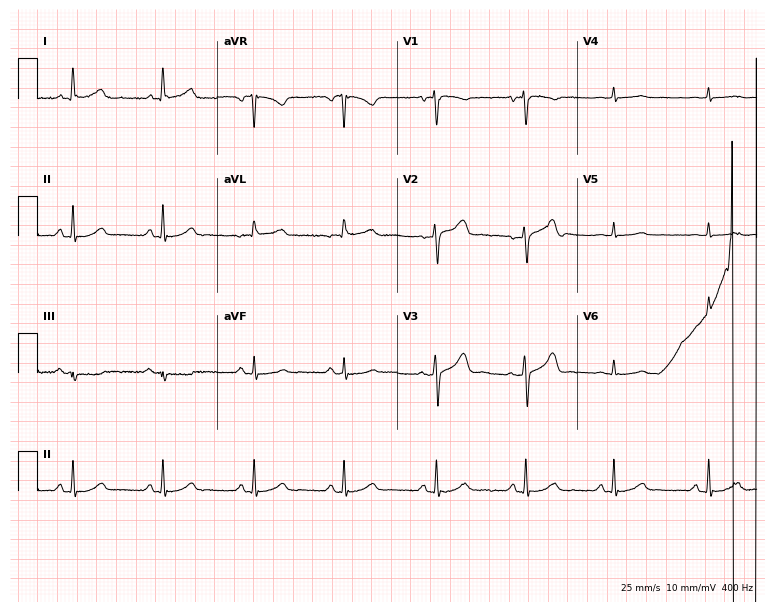
Electrocardiogram (7.3-second recording at 400 Hz), a 60-year-old female. Overall reading on record: normal ECG.